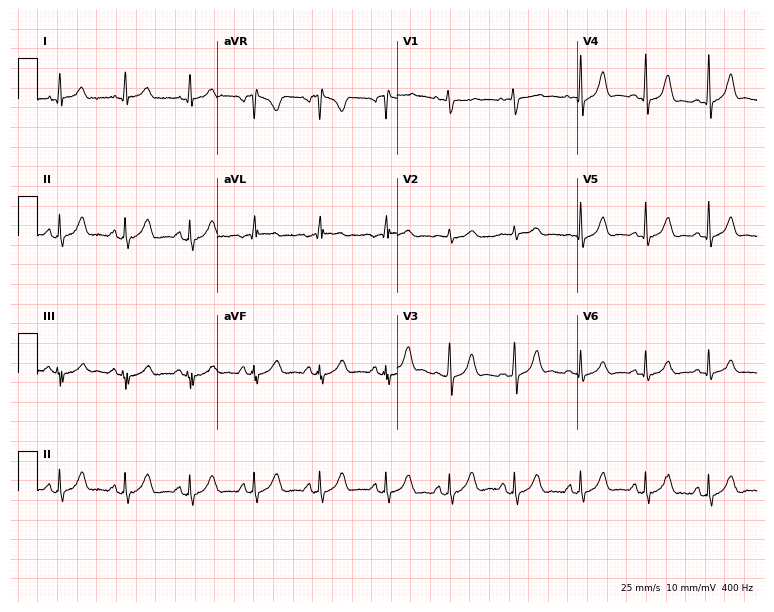
Resting 12-lead electrocardiogram (7.3-second recording at 400 Hz). Patient: a 20-year-old female. Read as a normal ECG.